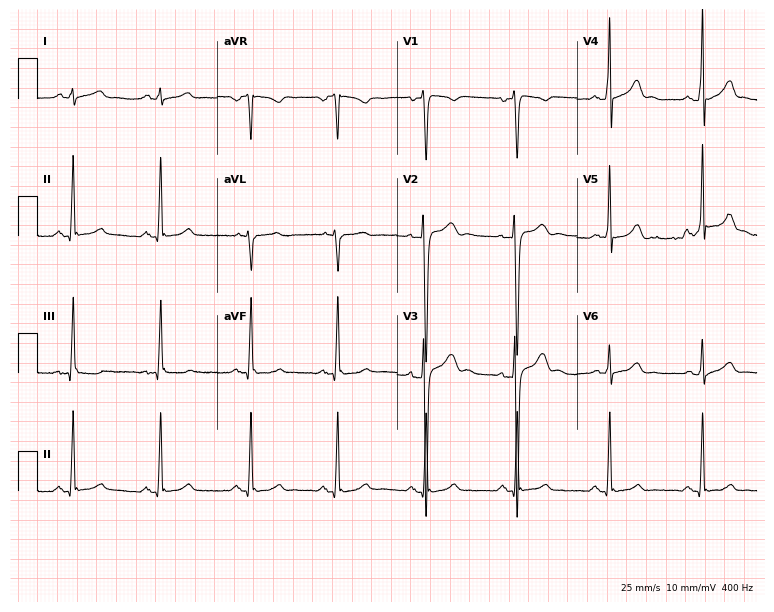
ECG — a man, 24 years old. Labelled as a normal ECG.